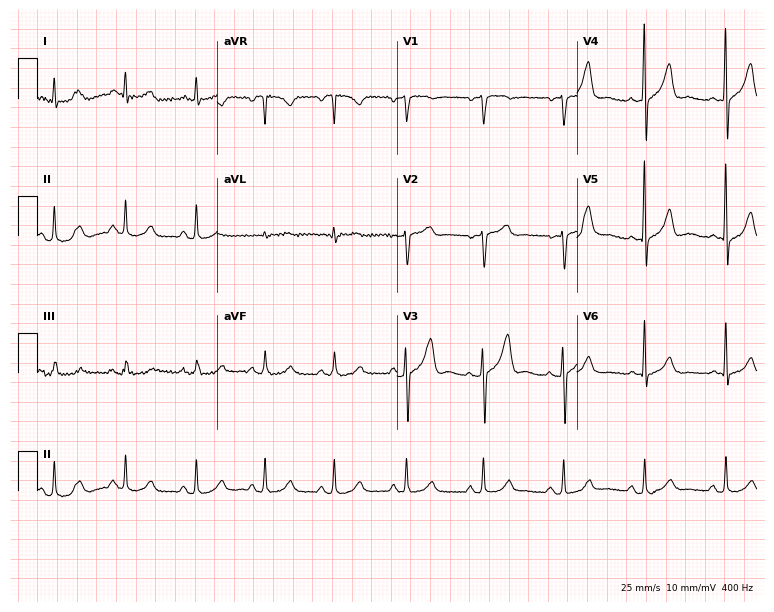
ECG — a 59-year-old male patient. Labelled as a normal ECG.